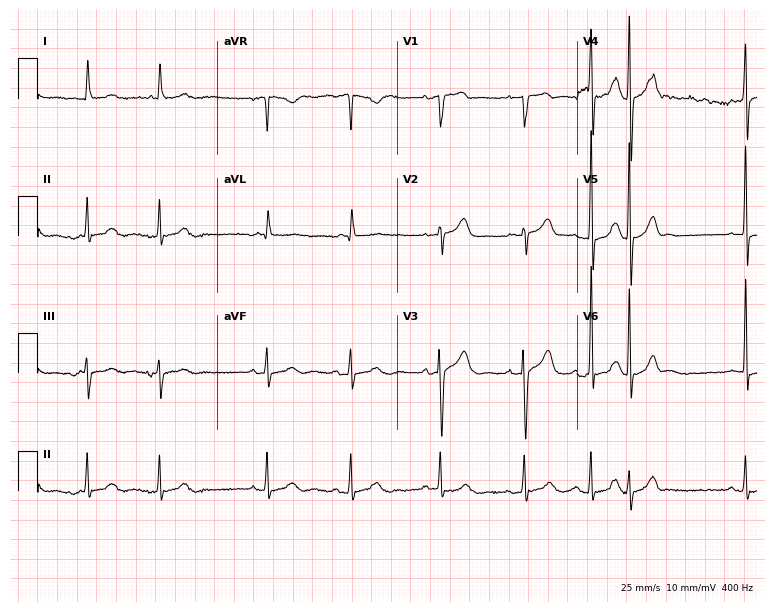
Standard 12-lead ECG recorded from an 84-year-old female (7.3-second recording at 400 Hz). None of these six findings is recorded: first-degree AV block, right bundle branch block, left bundle branch block, sinus bradycardia, atrial fibrillation, sinus tachycardia. Findings outside these six are not listed.